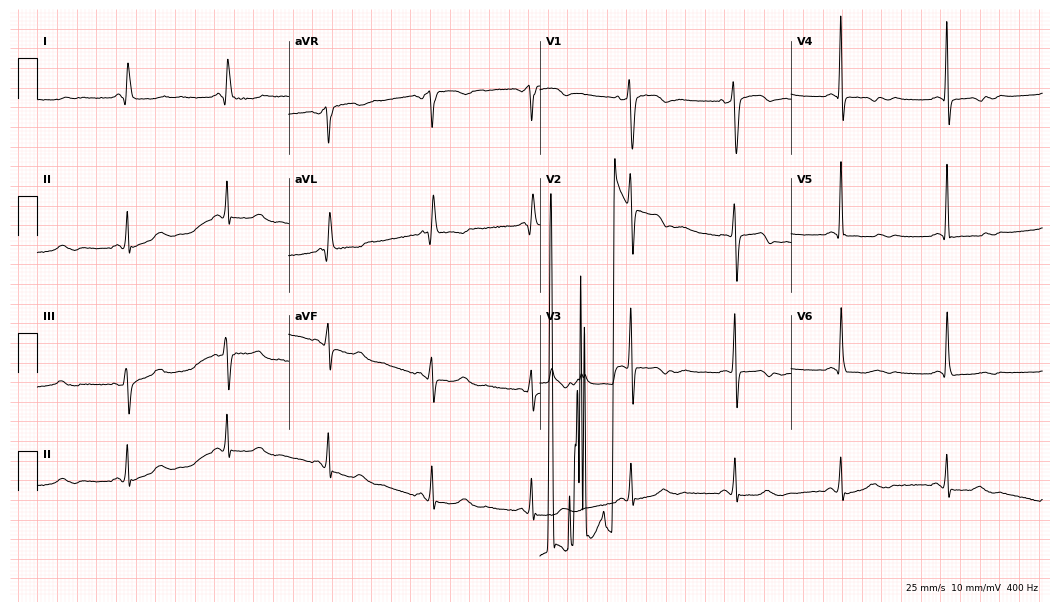
12-lead ECG from a female patient, 63 years old (10.2-second recording at 400 Hz). No first-degree AV block, right bundle branch block, left bundle branch block, sinus bradycardia, atrial fibrillation or sinus tachycardia recorded for this tracing. Only these six findings were labelled.